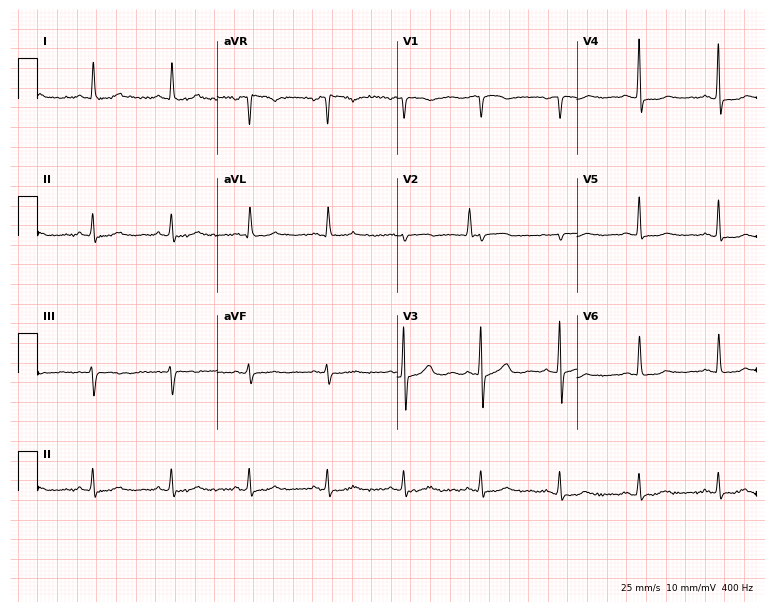
Resting 12-lead electrocardiogram. Patient: a female, 63 years old. None of these six findings is recorded: first-degree AV block, right bundle branch block (RBBB), left bundle branch block (LBBB), sinus bradycardia, atrial fibrillation (AF), sinus tachycardia.